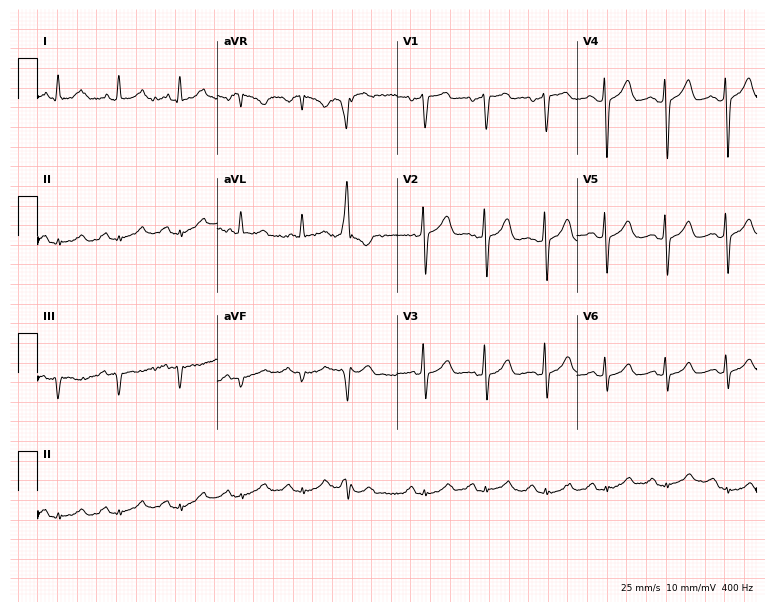
ECG — a 74-year-old man. Screened for six findings — first-degree AV block, right bundle branch block, left bundle branch block, sinus bradycardia, atrial fibrillation, sinus tachycardia — none is recorded. Other findings, if any, are not listed.